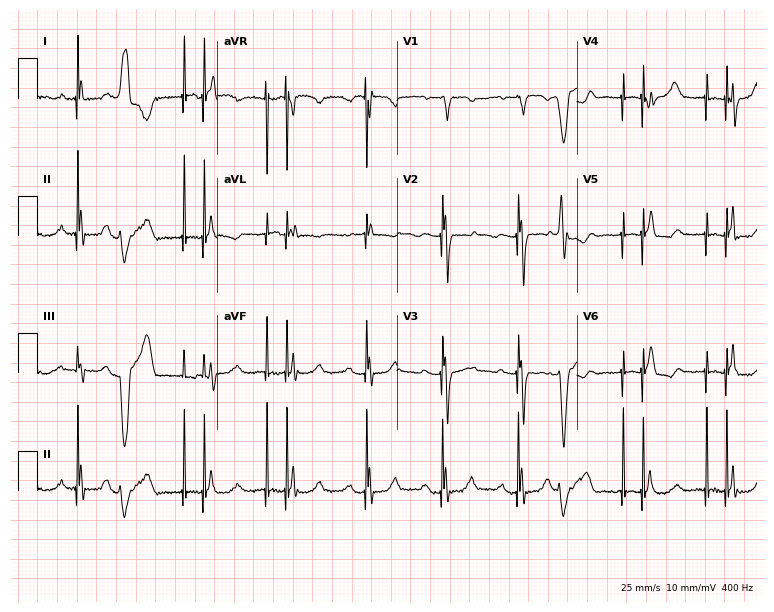
12-lead ECG from a 59-year-old female. Screened for six findings — first-degree AV block, right bundle branch block (RBBB), left bundle branch block (LBBB), sinus bradycardia, atrial fibrillation (AF), sinus tachycardia — none is recorded.